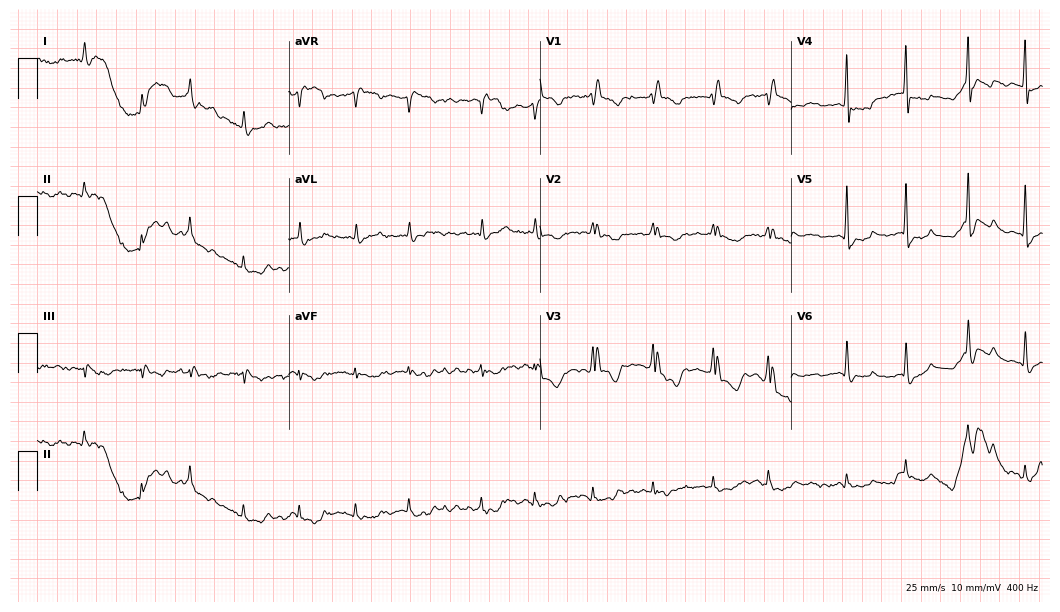
12-lead ECG from a 77-year-old female patient (10.2-second recording at 400 Hz). No first-degree AV block, right bundle branch block (RBBB), left bundle branch block (LBBB), sinus bradycardia, atrial fibrillation (AF) or sinus tachycardia recorded for this tracing. Other findings, if any, are not listed.